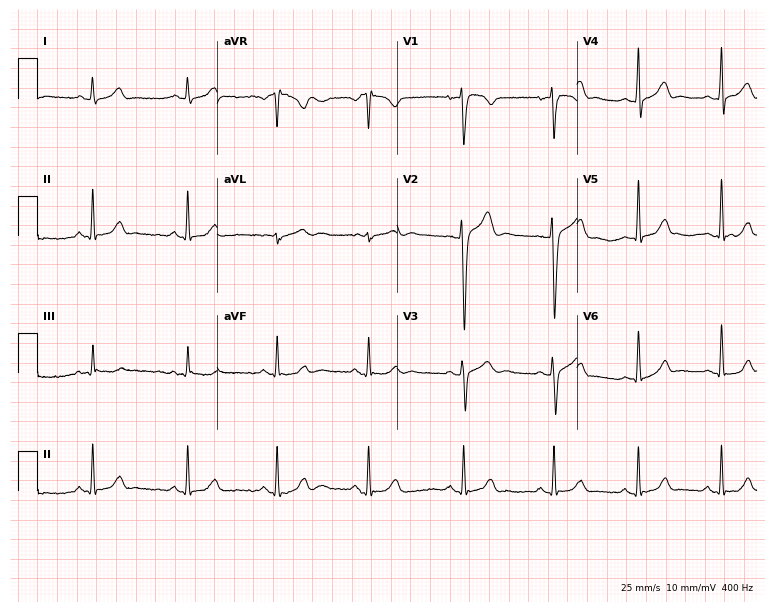
ECG — a 28-year-old man. Labelled as a normal ECG.